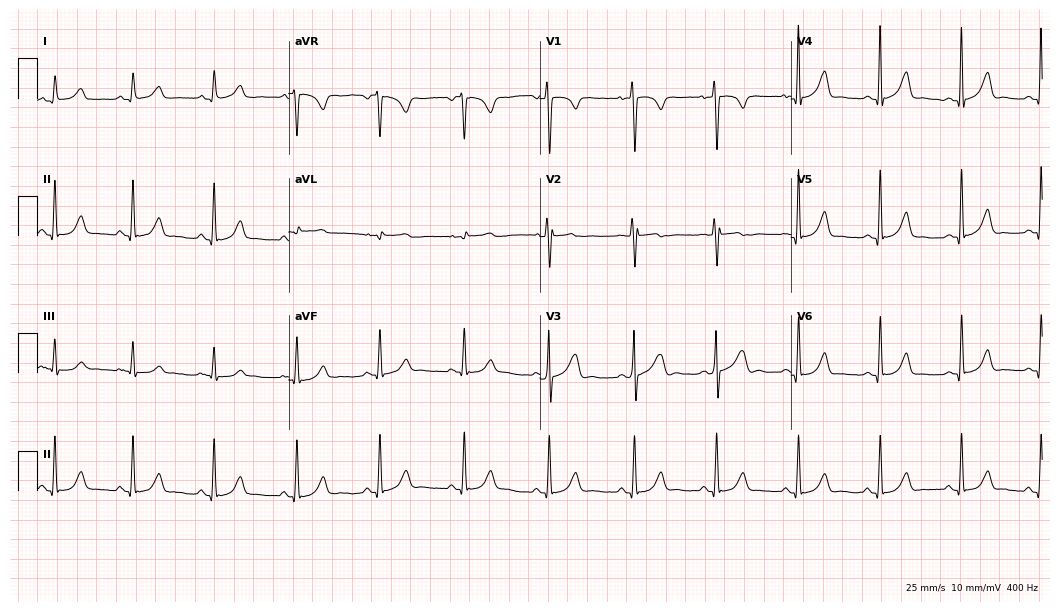
ECG (10.2-second recording at 400 Hz) — a male, 84 years old. Labelled as a normal ECG.